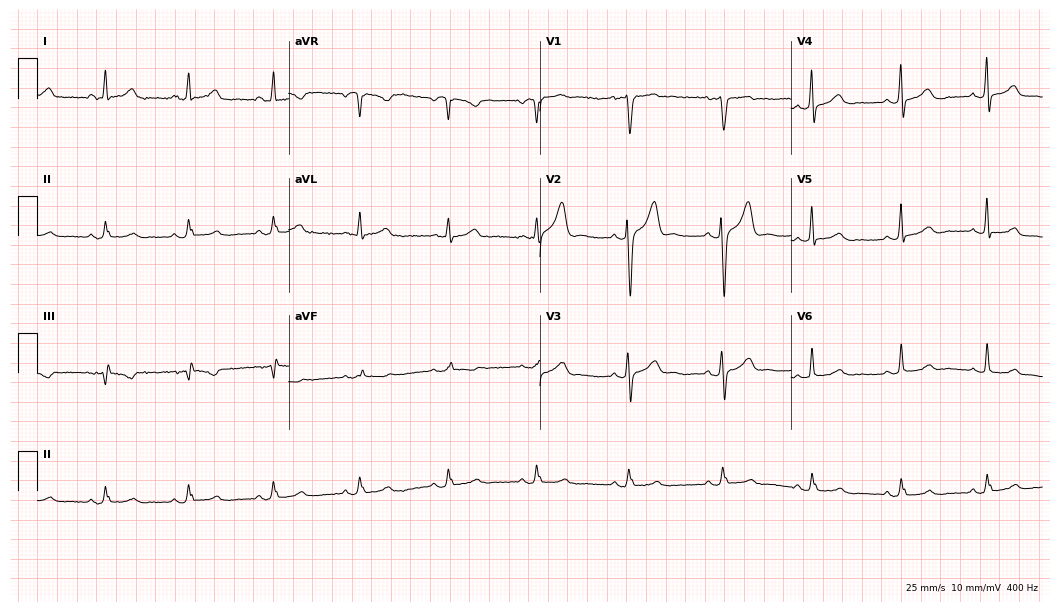
ECG — a 38-year-old male. Labelled as a normal ECG.